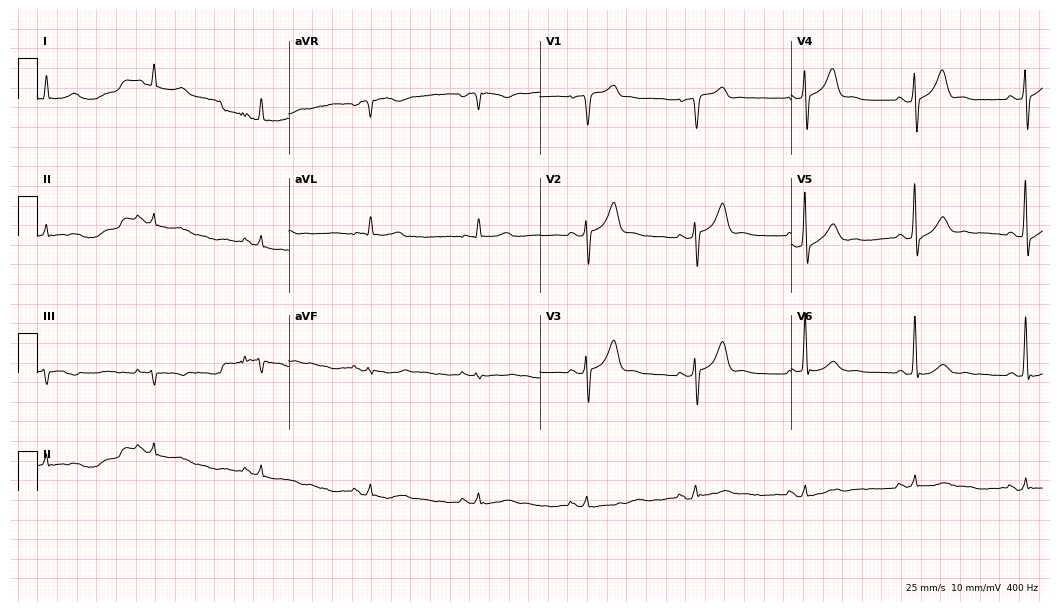
Standard 12-lead ECG recorded from a male patient, 61 years old (10.2-second recording at 400 Hz). Read as a normal ECG.